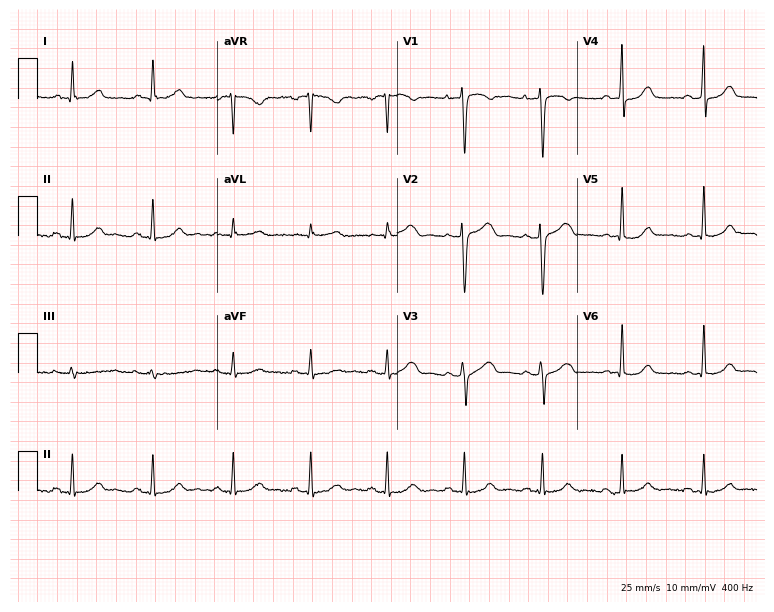
12-lead ECG from a female patient, 42 years old (7.3-second recording at 400 Hz). Recorded interpretation: within normal limits.